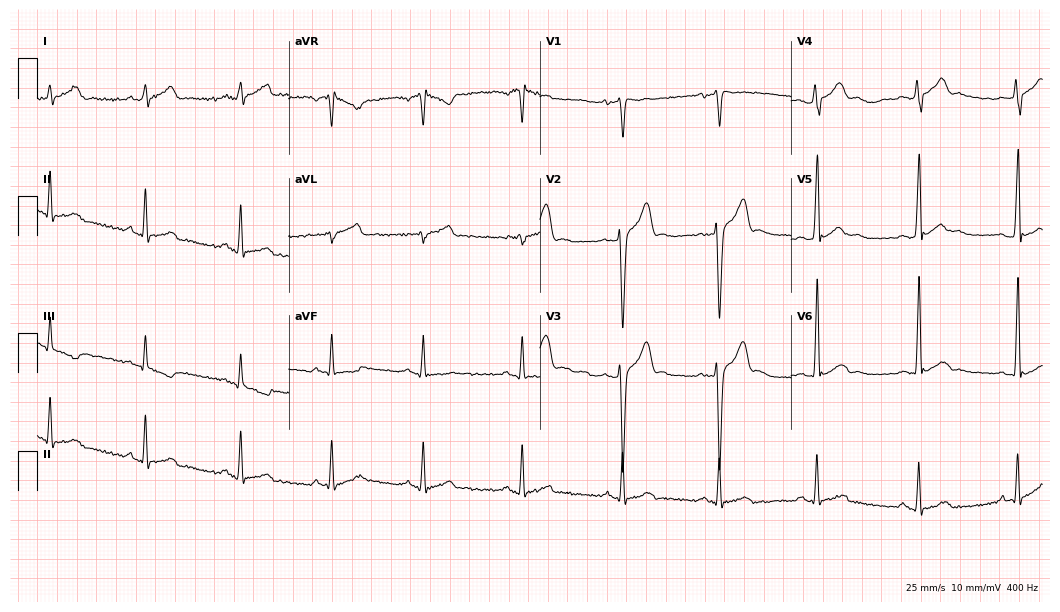
12-lead ECG from a man, 29 years old. Recorded interpretation: within normal limits.